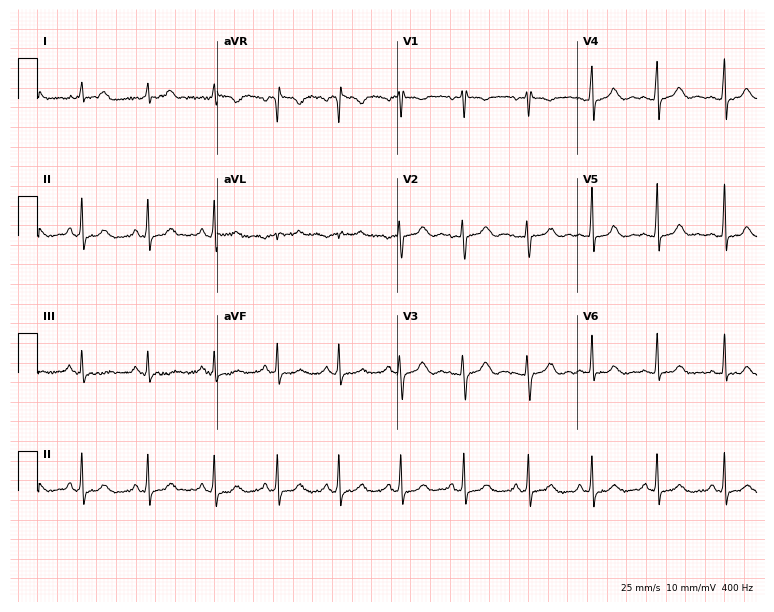
Resting 12-lead electrocardiogram (7.3-second recording at 400 Hz). Patient: a 21-year-old woman. Read as a normal ECG.